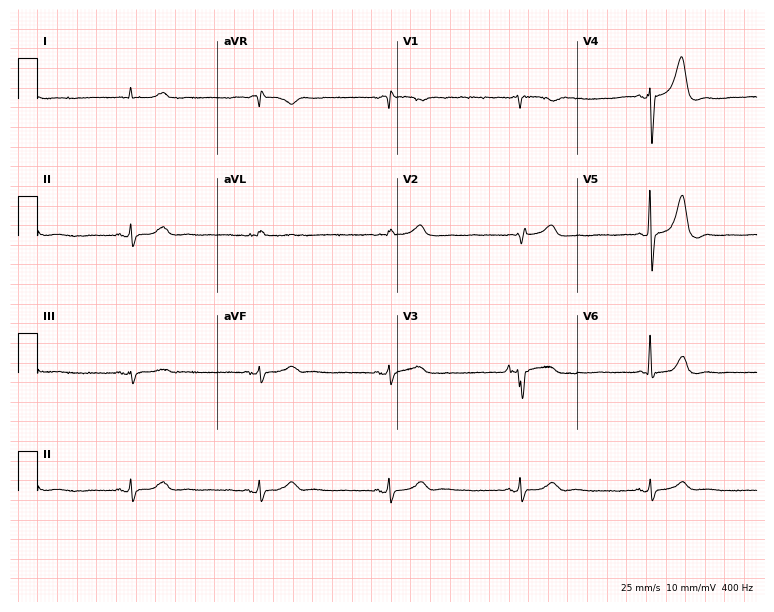
ECG (7.3-second recording at 400 Hz) — a male, 78 years old. Findings include sinus bradycardia (a sinus rate of 50 beats per minute or less).